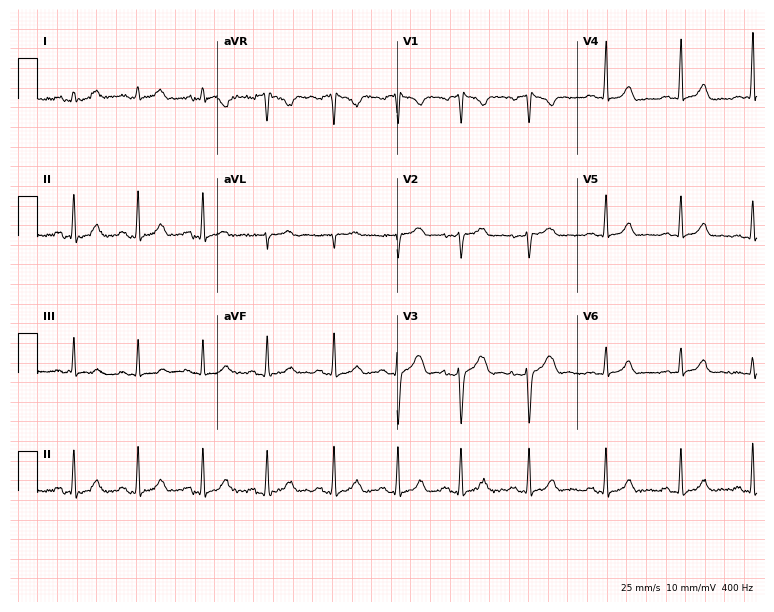
Resting 12-lead electrocardiogram. Patient: a 23-year-old female. Read as a normal ECG.